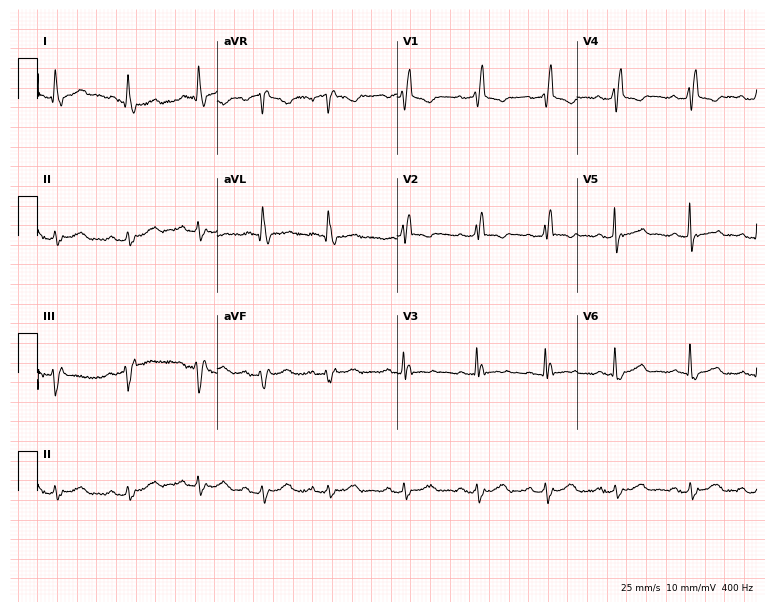
Electrocardiogram, a female, 68 years old. Interpretation includes right bundle branch block.